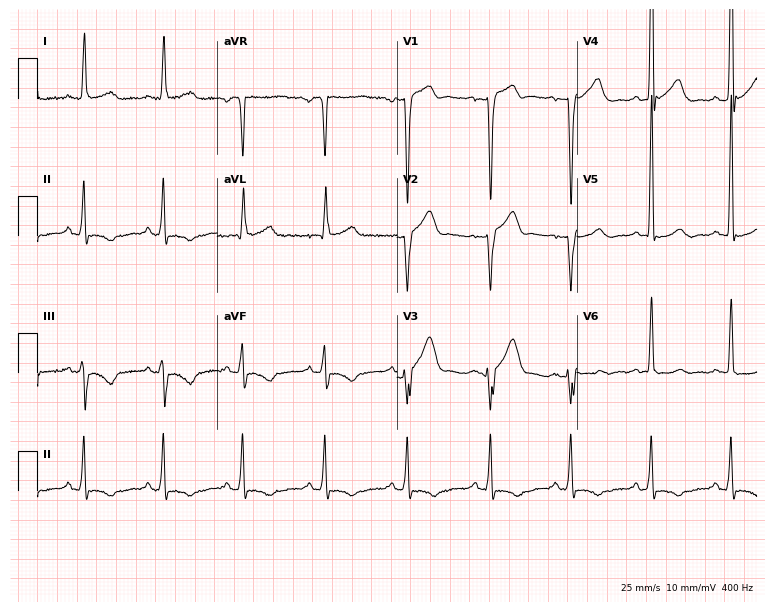
12-lead ECG from a 72-year-old man. Screened for six findings — first-degree AV block, right bundle branch block, left bundle branch block, sinus bradycardia, atrial fibrillation, sinus tachycardia — none is recorded. Other findings, if any, are not listed.